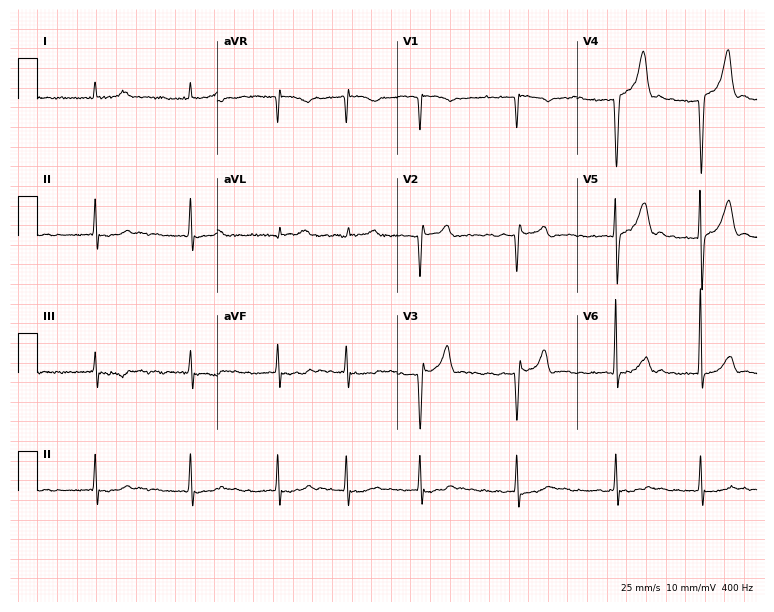
ECG (7.3-second recording at 400 Hz) — an 81-year-old male. Findings include atrial fibrillation.